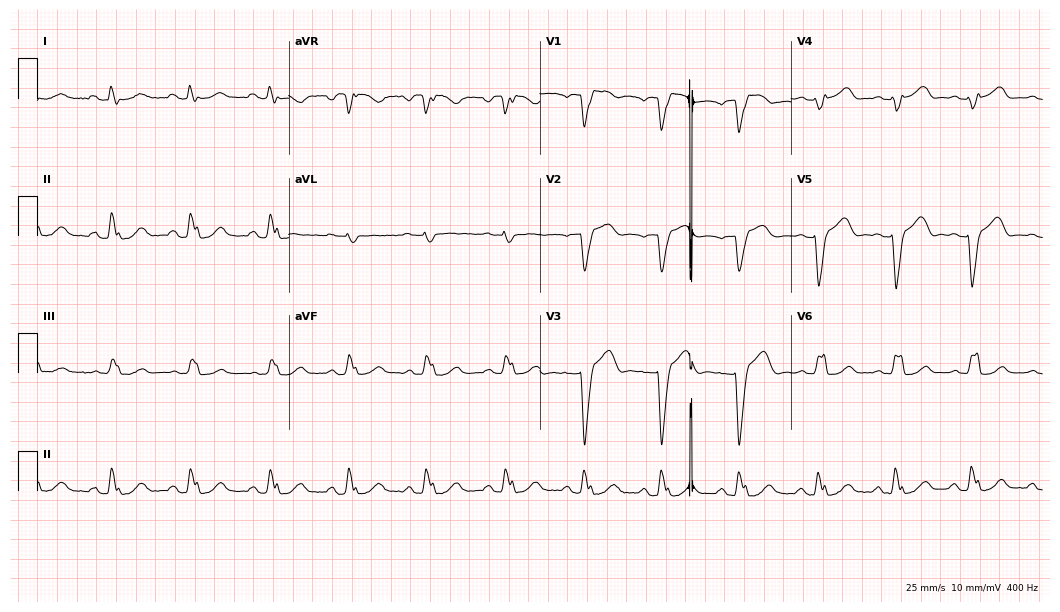
12-lead ECG (10.2-second recording at 400 Hz) from a 67-year-old female patient. Findings include left bundle branch block.